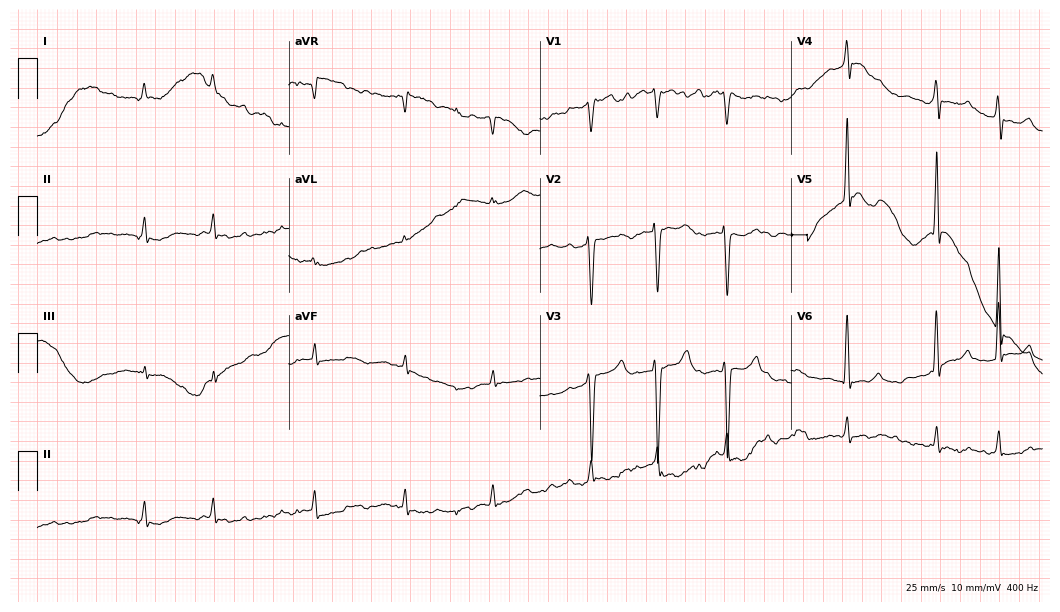
Standard 12-lead ECG recorded from a male, 42 years old. None of these six findings is recorded: first-degree AV block, right bundle branch block, left bundle branch block, sinus bradycardia, atrial fibrillation, sinus tachycardia.